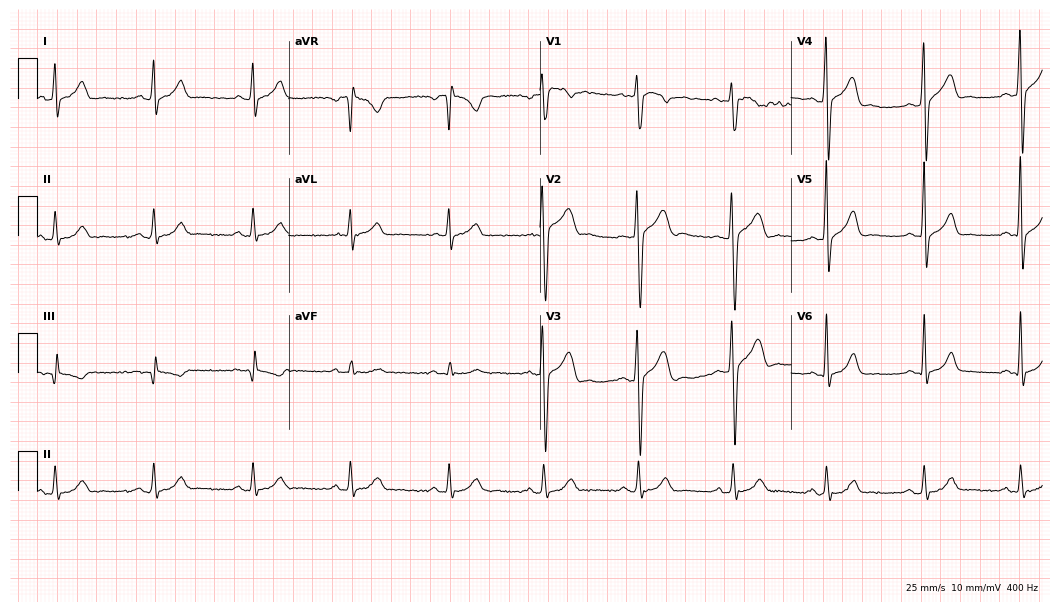
ECG (10.2-second recording at 400 Hz) — a man, 27 years old. Screened for six findings — first-degree AV block, right bundle branch block, left bundle branch block, sinus bradycardia, atrial fibrillation, sinus tachycardia — none is recorded.